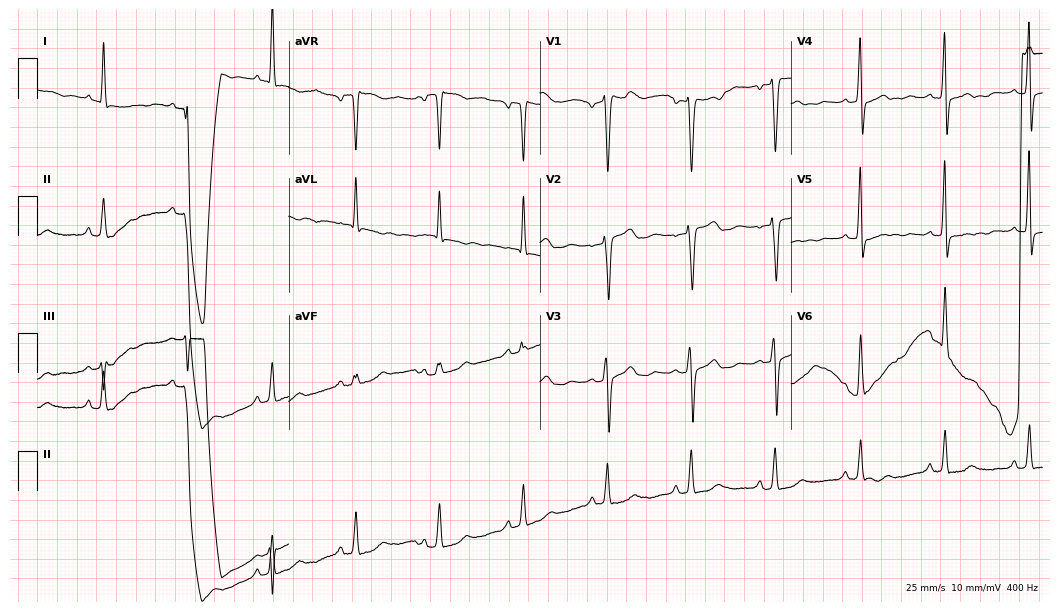
12-lead ECG (10.2-second recording at 400 Hz) from a 64-year-old female patient. Screened for six findings — first-degree AV block, right bundle branch block (RBBB), left bundle branch block (LBBB), sinus bradycardia, atrial fibrillation (AF), sinus tachycardia — none is recorded. Only these six findings were labelled.